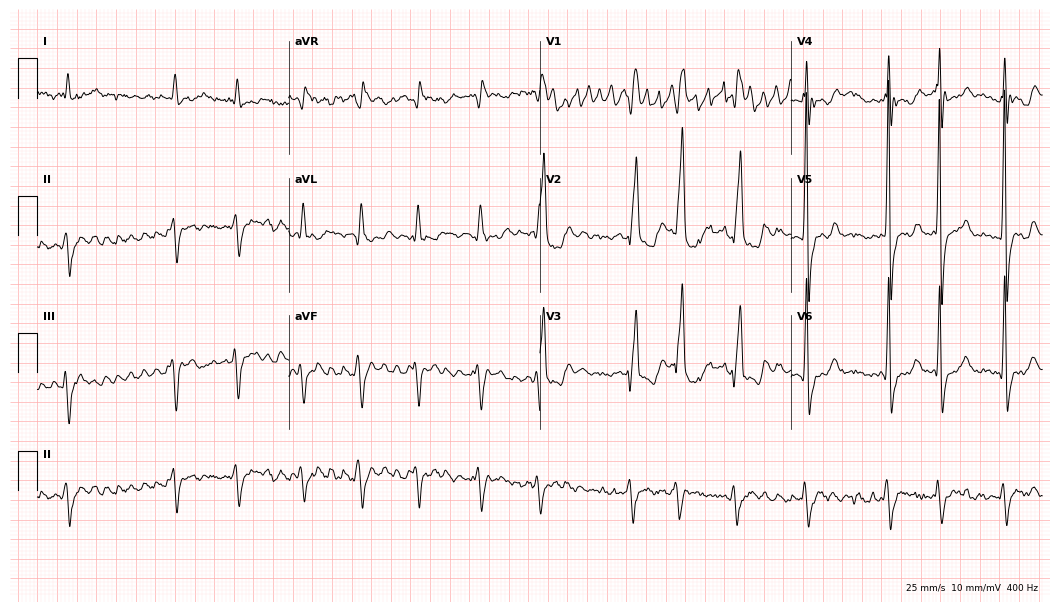
Resting 12-lead electrocardiogram. Patient: a woman, 75 years old. The tracing shows right bundle branch block, atrial fibrillation.